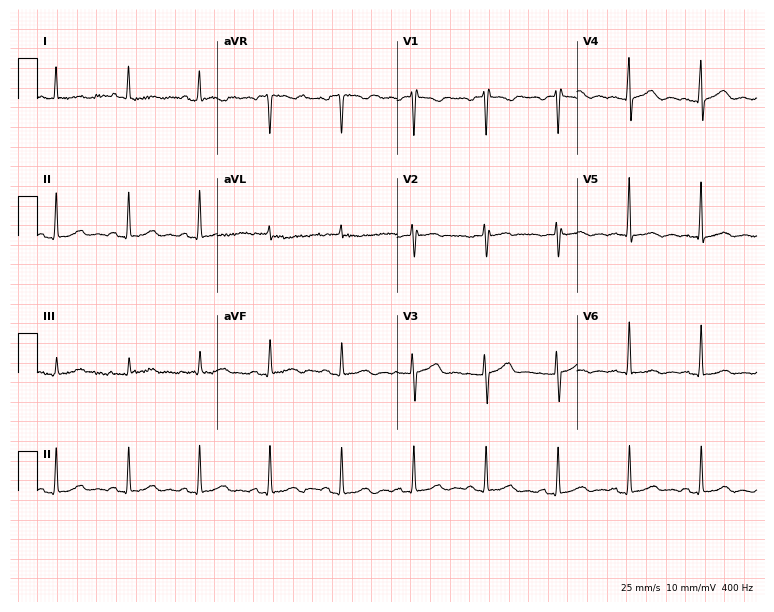
12-lead ECG from a woman, 51 years old. No first-degree AV block, right bundle branch block (RBBB), left bundle branch block (LBBB), sinus bradycardia, atrial fibrillation (AF) or sinus tachycardia recorded for this tracing. Other findings, if any, are not listed.